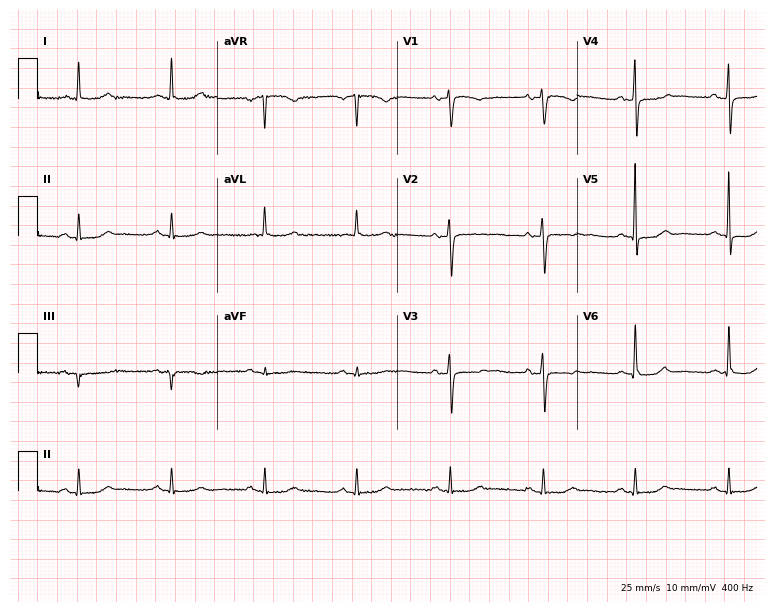
12-lead ECG (7.3-second recording at 400 Hz) from an 83-year-old female patient. Screened for six findings — first-degree AV block, right bundle branch block, left bundle branch block, sinus bradycardia, atrial fibrillation, sinus tachycardia — none is recorded.